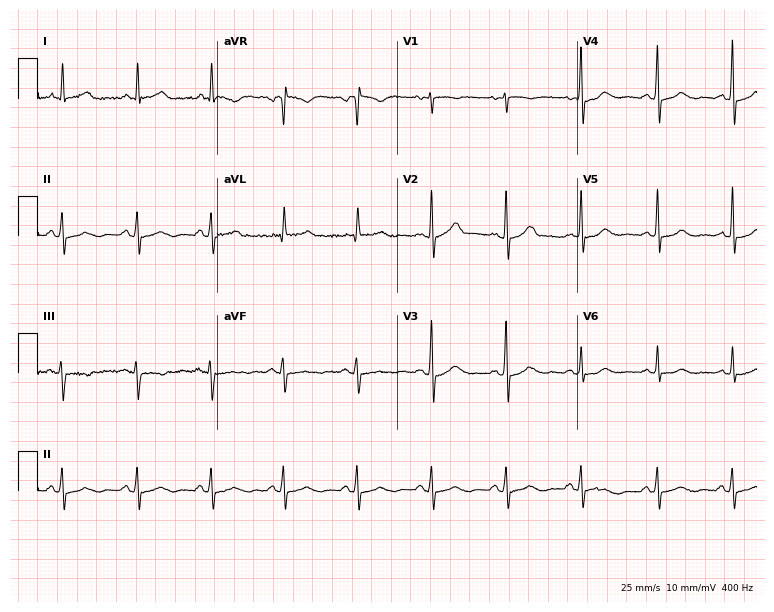
Electrocardiogram, a female patient, 44 years old. Overall reading on record: normal ECG.